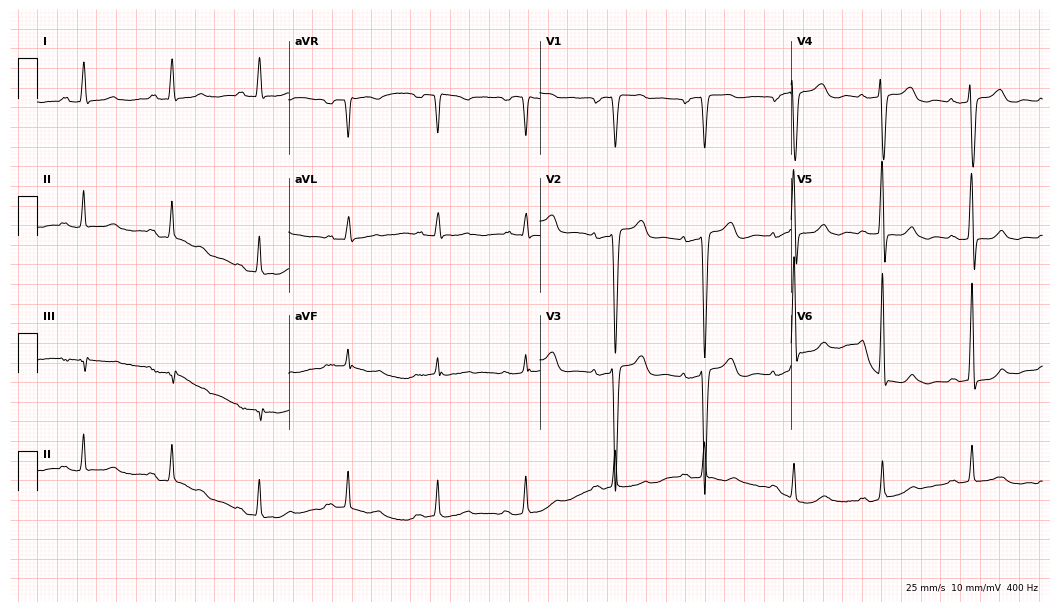
12-lead ECG from an 84-year-old woman. Screened for six findings — first-degree AV block, right bundle branch block, left bundle branch block, sinus bradycardia, atrial fibrillation, sinus tachycardia — none is recorded. Findings outside these six are not listed.